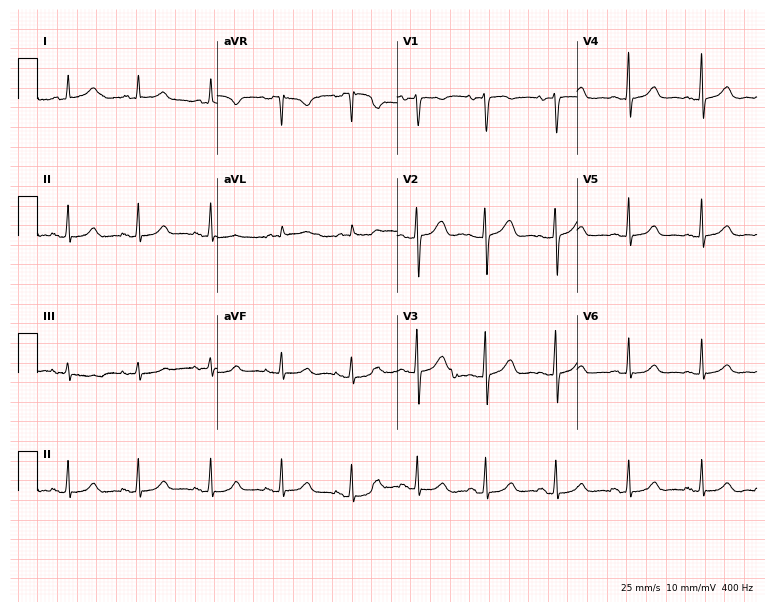
12-lead ECG from a 43-year-old female patient. Labelled as a normal ECG.